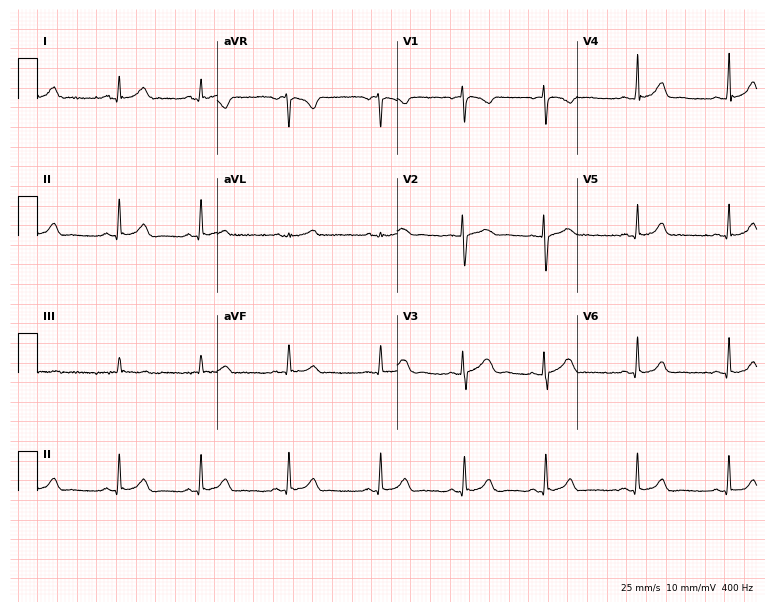
Electrocardiogram (7.3-second recording at 400 Hz), a 22-year-old female. Overall reading on record: normal ECG.